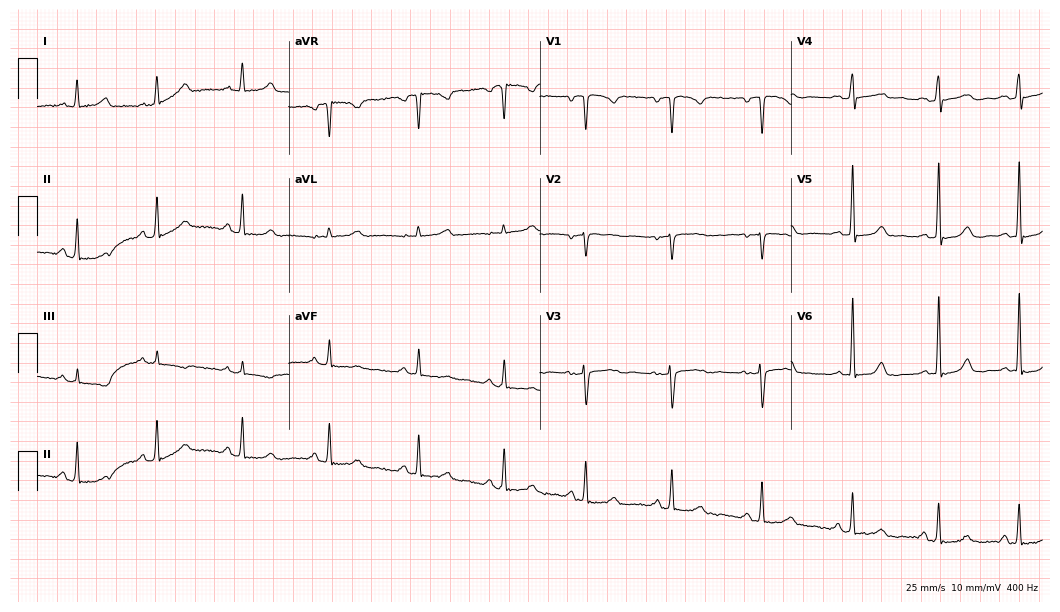
ECG — a 37-year-old female patient. Labelled as a normal ECG.